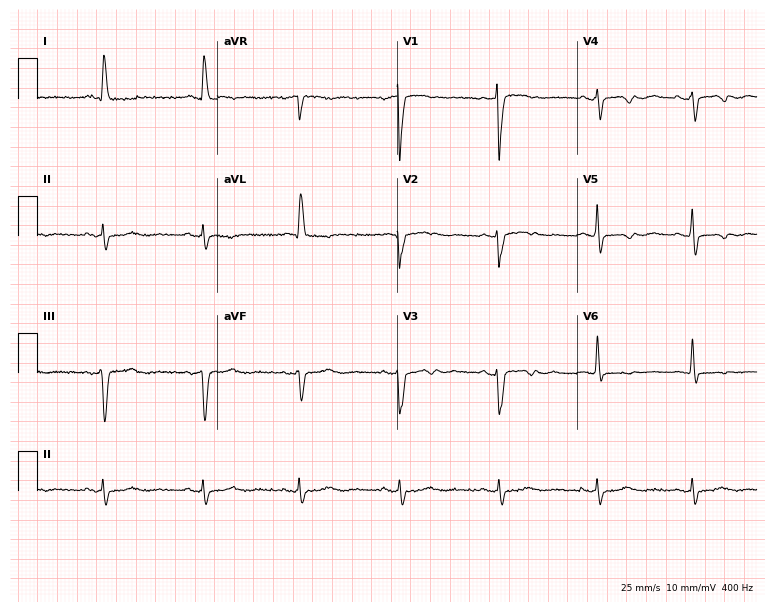
Electrocardiogram (7.3-second recording at 400 Hz), a woman, 80 years old. Of the six screened findings (first-degree AV block, right bundle branch block, left bundle branch block, sinus bradycardia, atrial fibrillation, sinus tachycardia), none is recorded. Only these six findings were labelled.